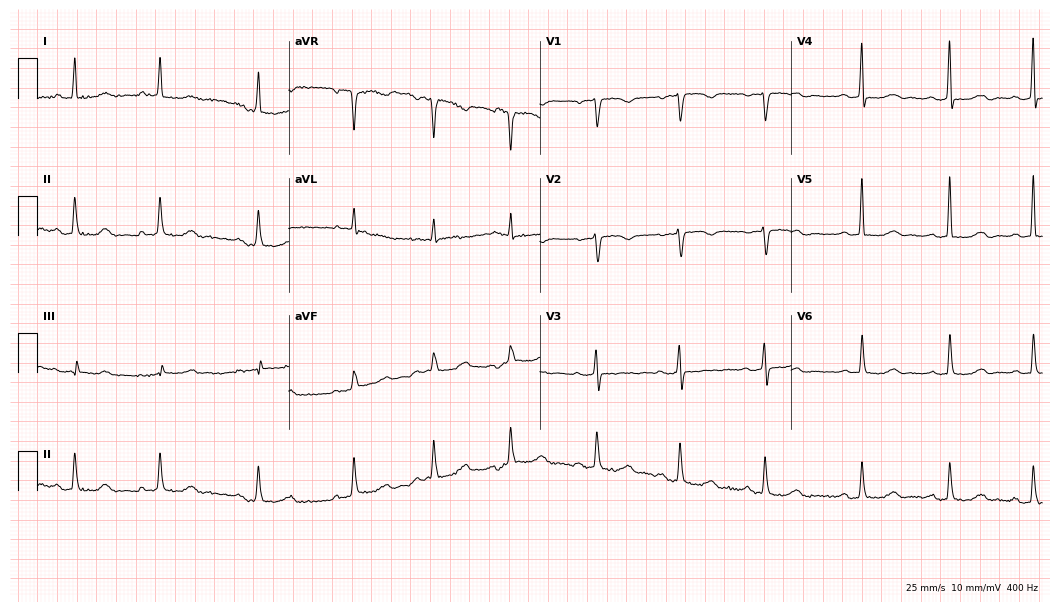
ECG — a female, 73 years old. Labelled as a normal ECG.